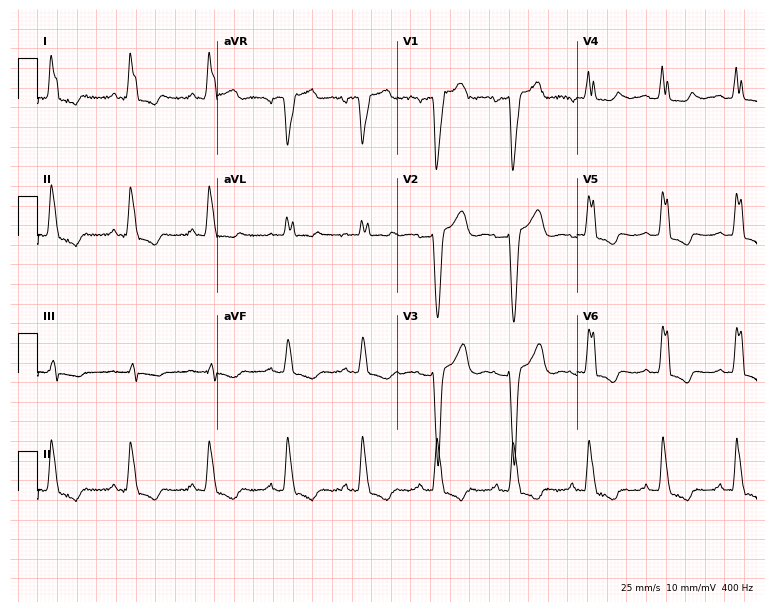
Standard 12-lead ECG recorded from a 63-year-old woman (7.3-second recording at 400 Hz). The tracing shows left bundle branch block.